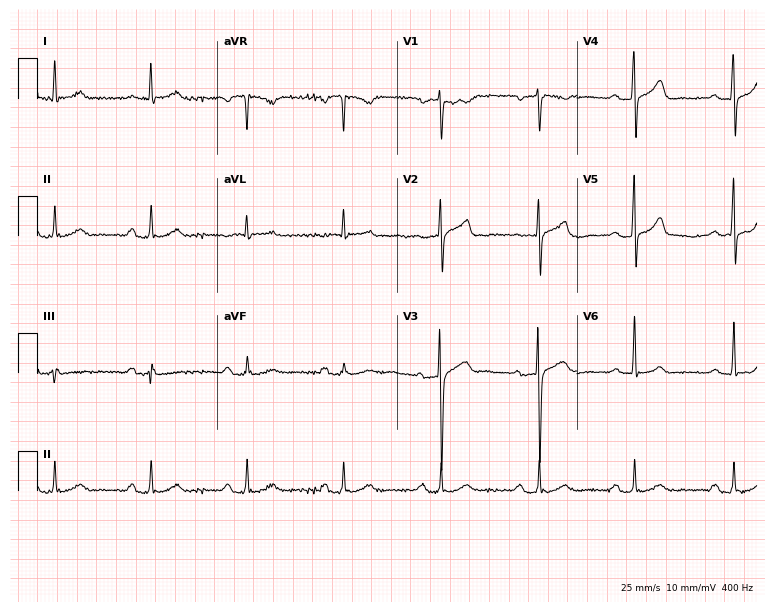
Resting 12-lead electrocardiogram. Patient: a male, 75 years old. Read as a normal ECG.